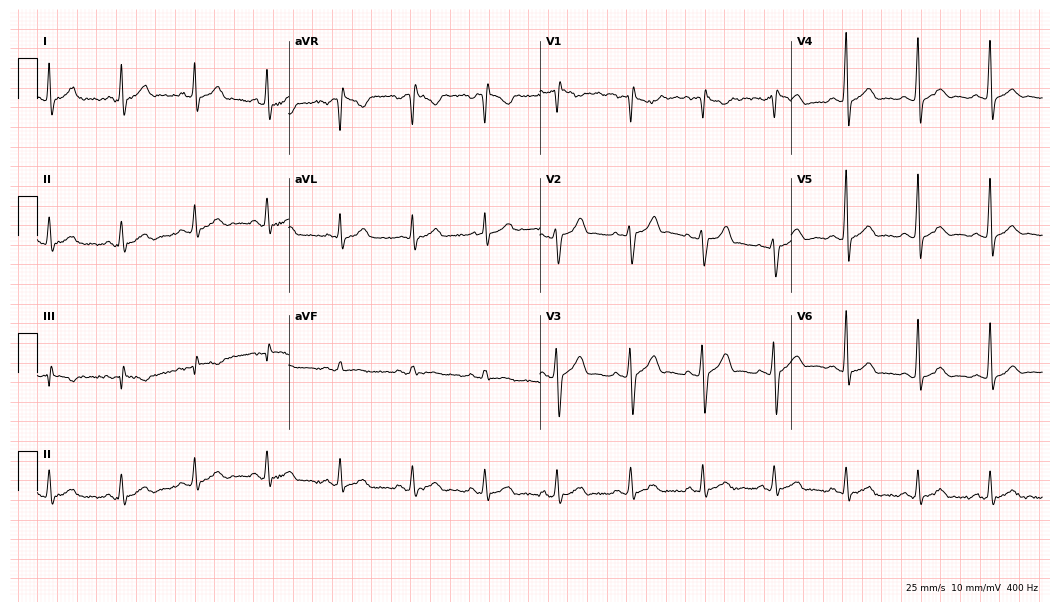
Resting 12-lead electrocardiogram. Patient: a male, 39 years old. Read as a normal ECG.